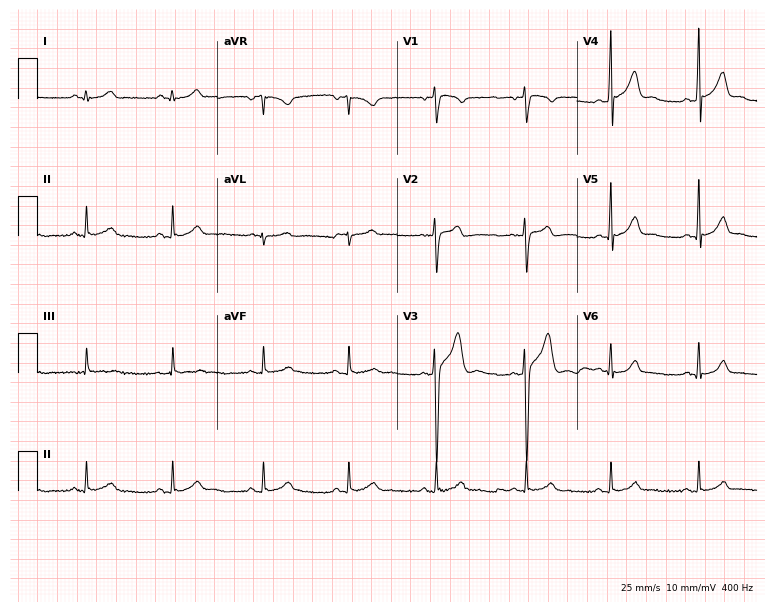
12-lead ECG from a male patient, 23 years old. Screened for six findings — first-degree AV block, right bundle branch block, left bundle branch block, sinus bradycardia, atrial fibrillation, sinus tachycardia — none is recorded.